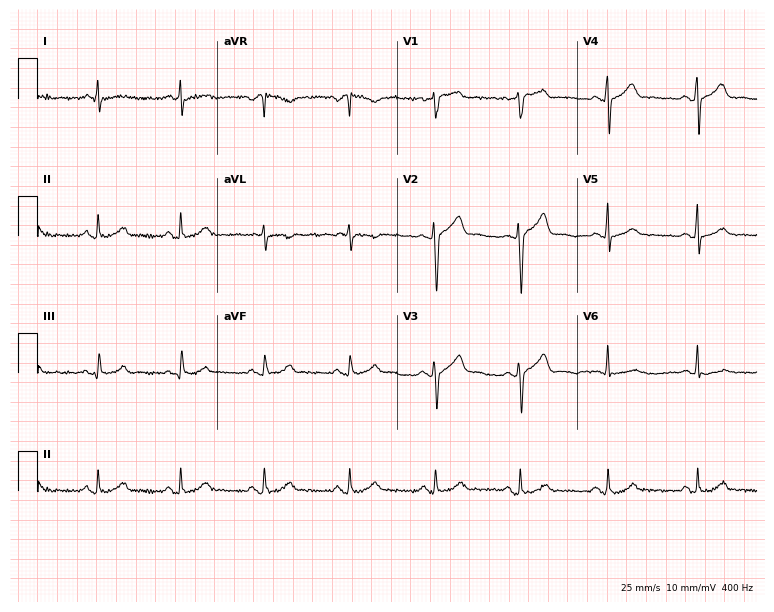
Electrocardiogram, a 45-year-old male. Of the six screened findings (first-degree AV block, right bundle branch block (RBBB), left bundle branch block (LBBB), sinus bradycardia, atrial fibrillation (AF), sinus tachycardia), none is recorded.